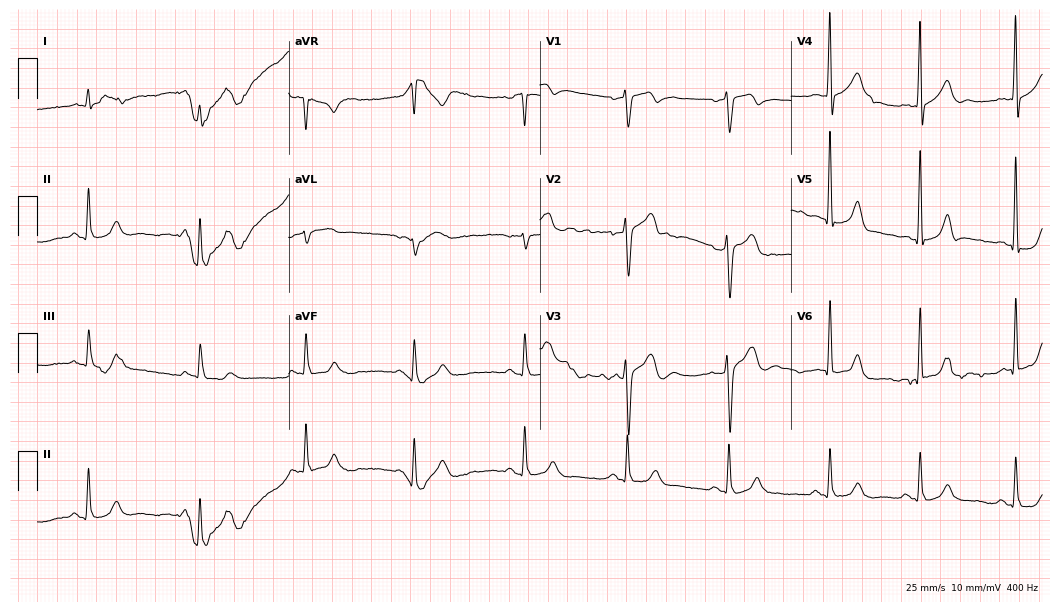
ECG — a 32-year-old male patient. Labelled as a normal ECG.